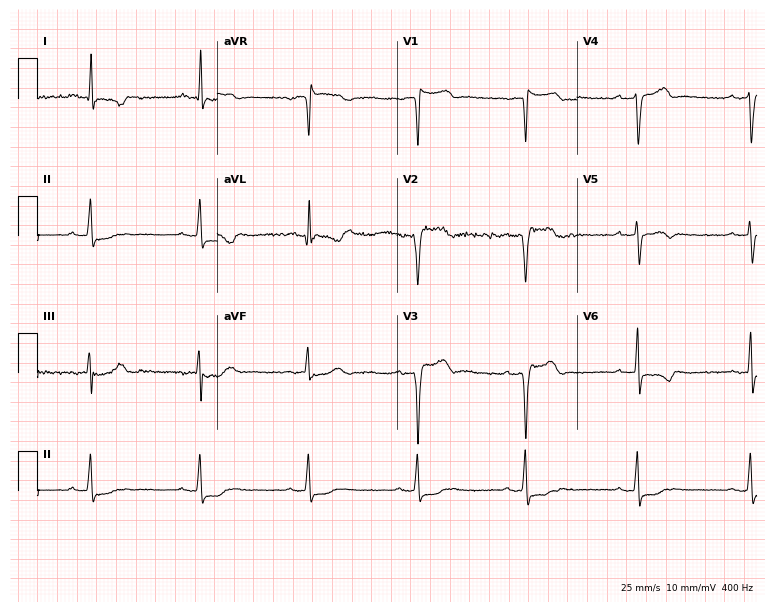
Standard 12-lead ECG recorded from a male patient, 72 years old. None of these six findings is recorded: first-degree AV block, right bundle branch block, left bundle branch block, sinus bradycardia, atrial fibrillation, sinus tachycardia.